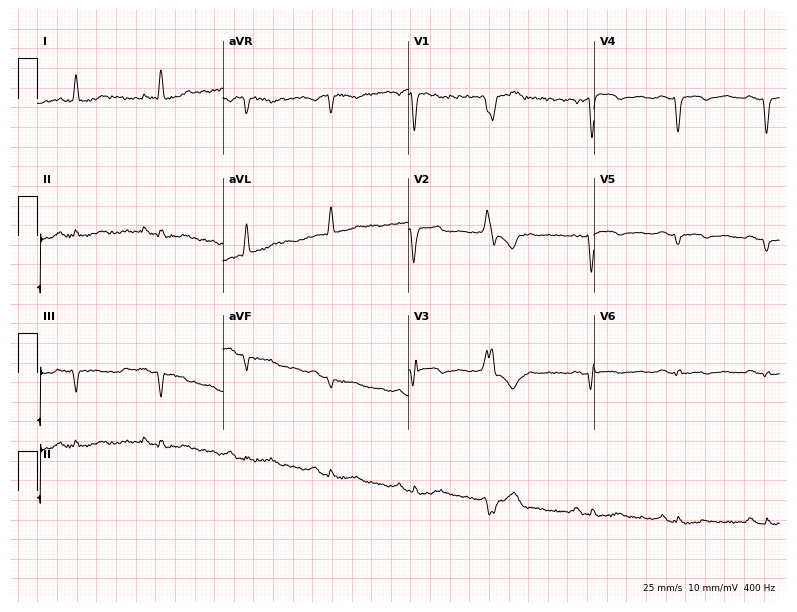
12-lead ECG from a female patient, 75 years old. Screened for six findings — first-degree AV block, right bundle branch block, left bundle branch block, sinus bradycardia, atrial fibrillation, sinus tachycardia — none is recorded. Other findings, if any, are not listed.